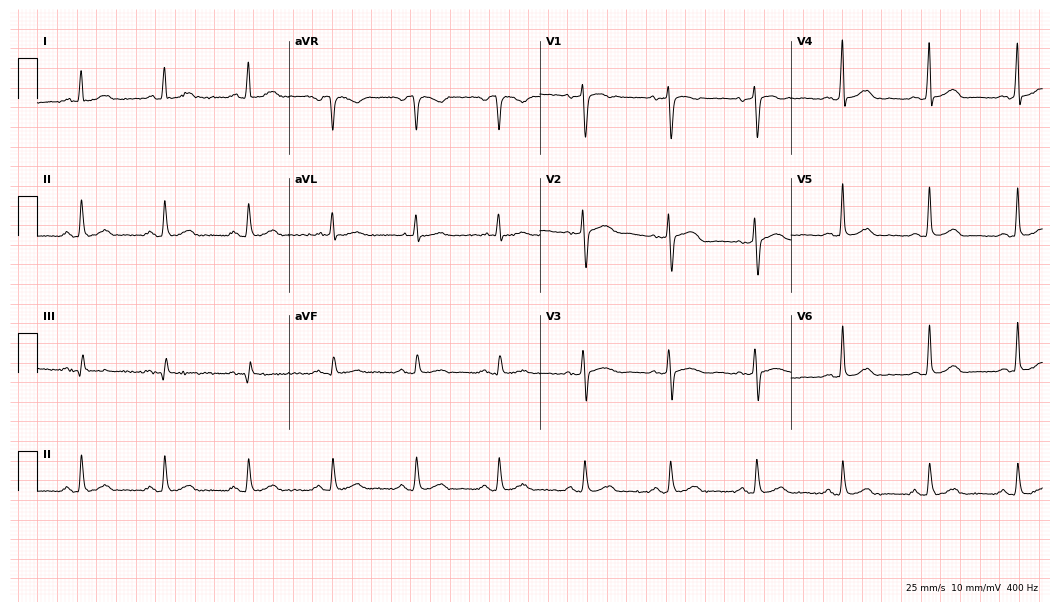
Standard 12-lead ECG recorded from a female patient, 57 years old. Read as a normal ECG.